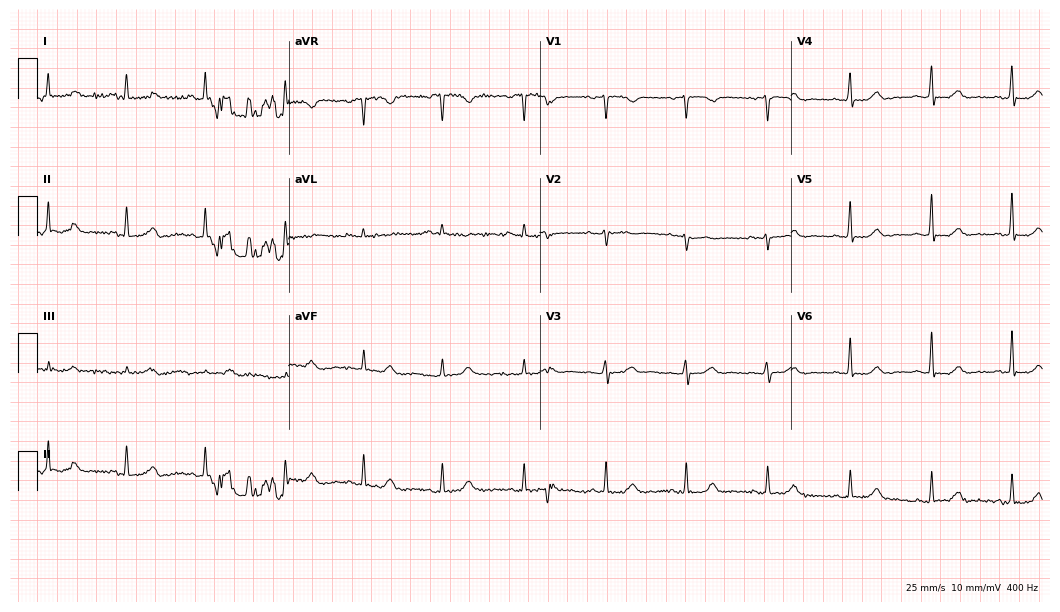
12-lead ECG from a 64-year-old female. Labelled as a normal ECG.